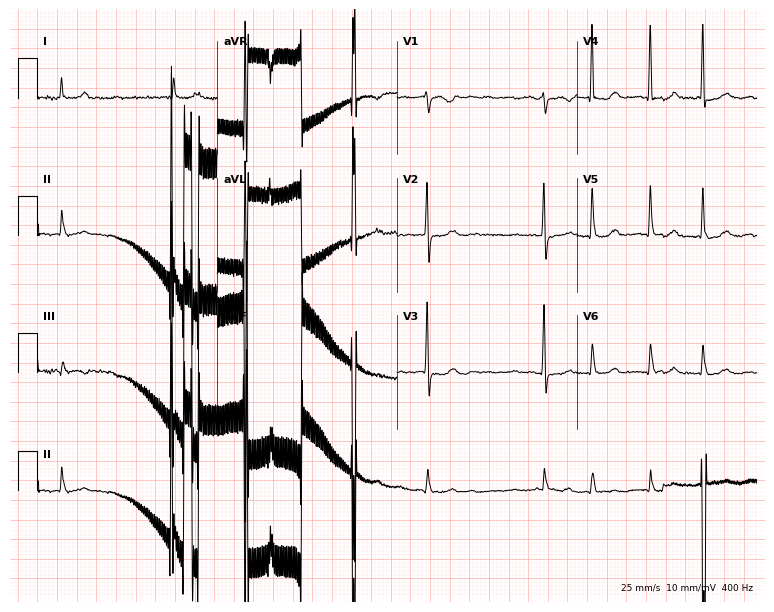
Standard 12-lead ECG recorded from a woman, 77 years old. The tracing shows atrial fibrillation.